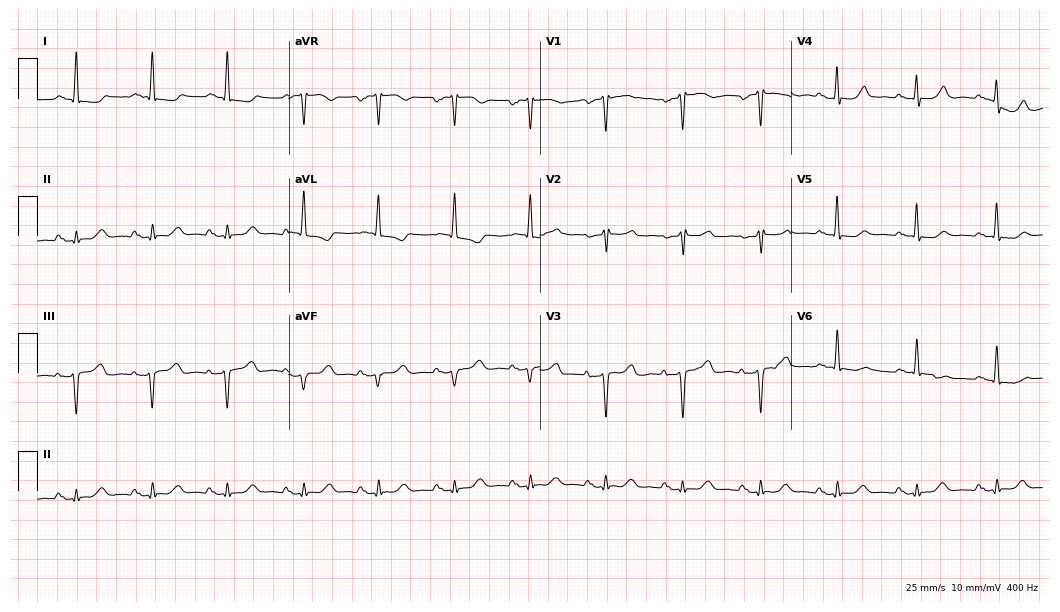
12-lead ECG from a woman, 63 years old (10.2-second recording at 400 Hz). No first-degree AV block, right bundle branch block, left bundle branch block, sinus bradycardia, atrial fibrillation or sinus tachycardia recorded for this tracing.